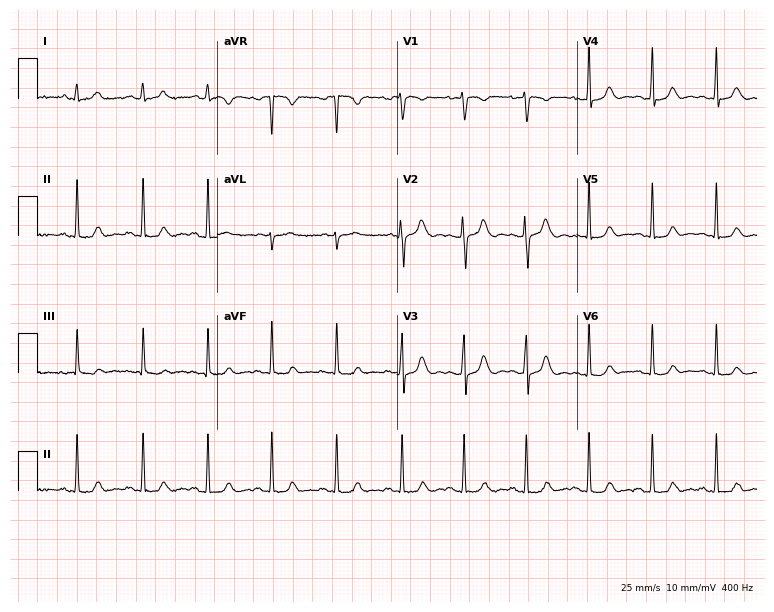
Electrocardiogram (7.3-second recording at 400 Hz), an 18-year-old female patient. Overall reading on record: normal ECG.